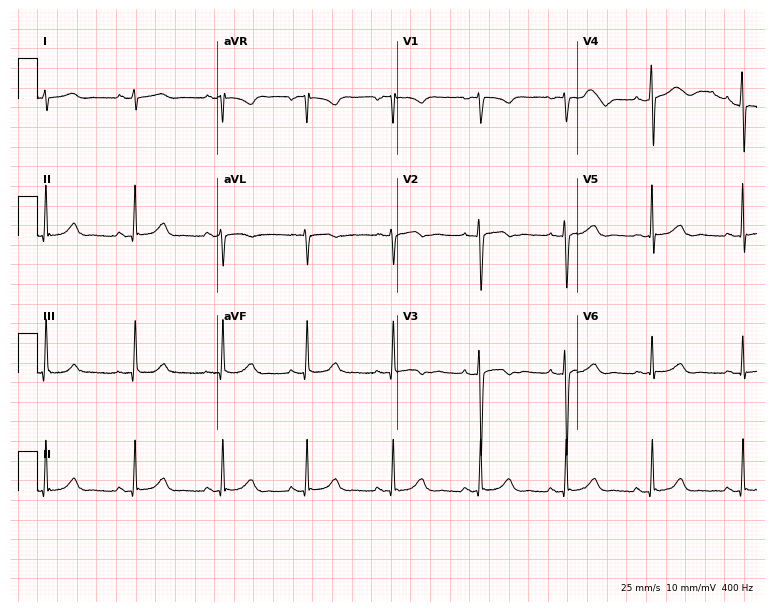
Electrocardiogram, a 30-year-old woman. Of the six screened findings (first-degree AV block, right bundle branch block (RBBB), left bundle branch block (LBBB), sinus bradycardia, atrial fibrillation (AF), sinus tachycardia), none is recorded.